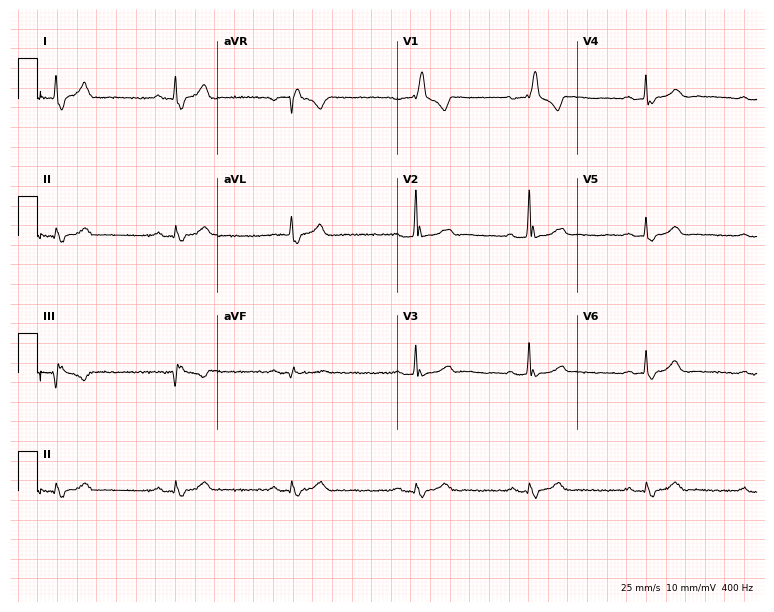
ECG (7.3-second recording at 400 Hz) — an 82-year-old male patient. Findings include right bundle branch block (RBBB).